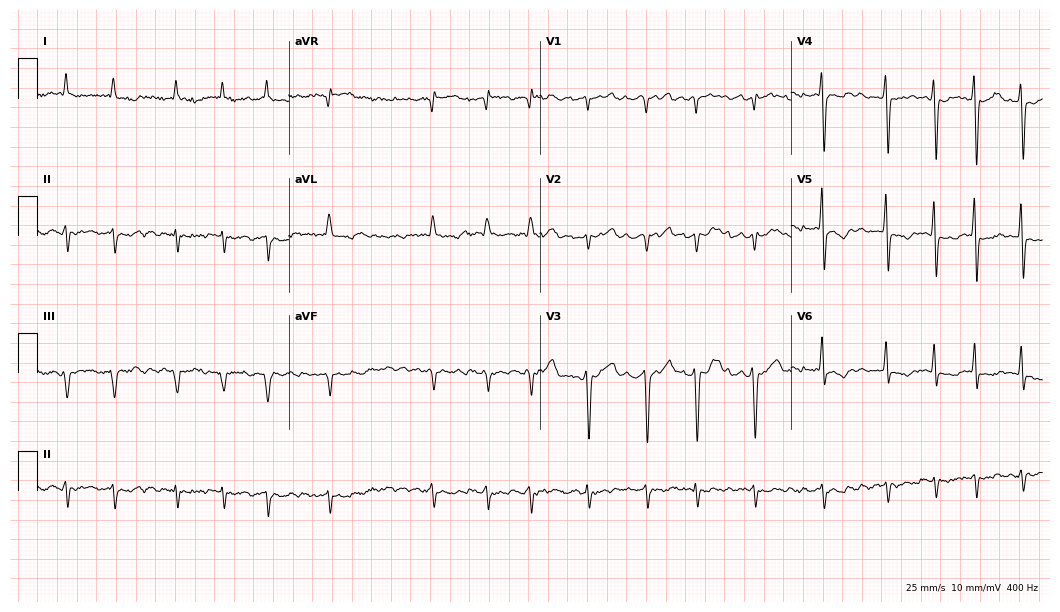
12-lead ECG from a male, 70 years old. Shows atrial fibrillation.